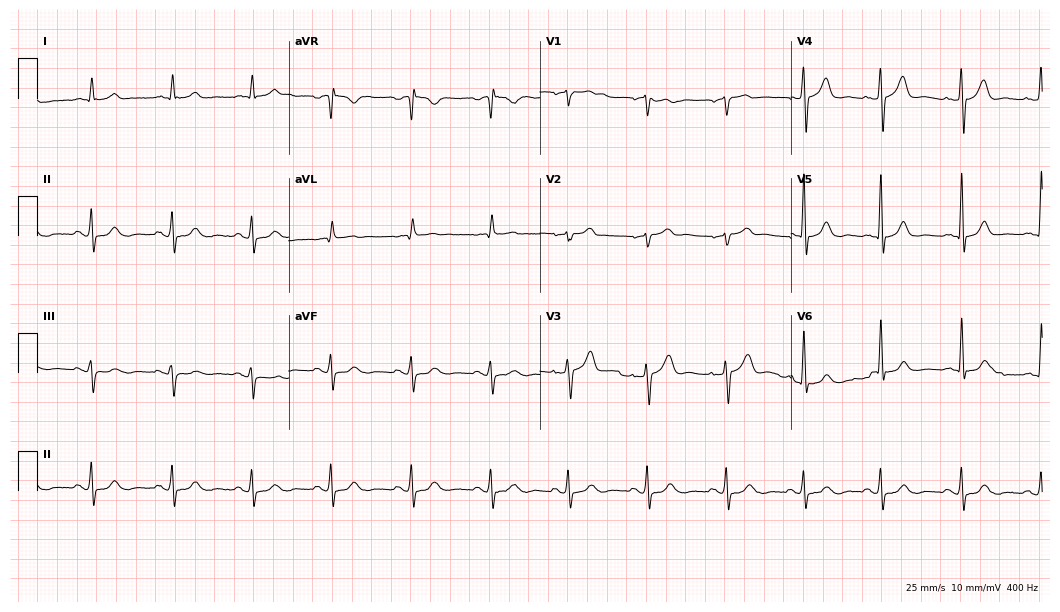
Resting 12-lead electrocardiogram (10.2-second recording at 400 Hz). Patient: a male, 70 years old. None of these six findings is recorded: first-degree AV block, right bundle branch block, left bundle branch block, sinus bradycardia, atrial fibrillation, sinus tachycardia. Other findings, if any, are not listed.